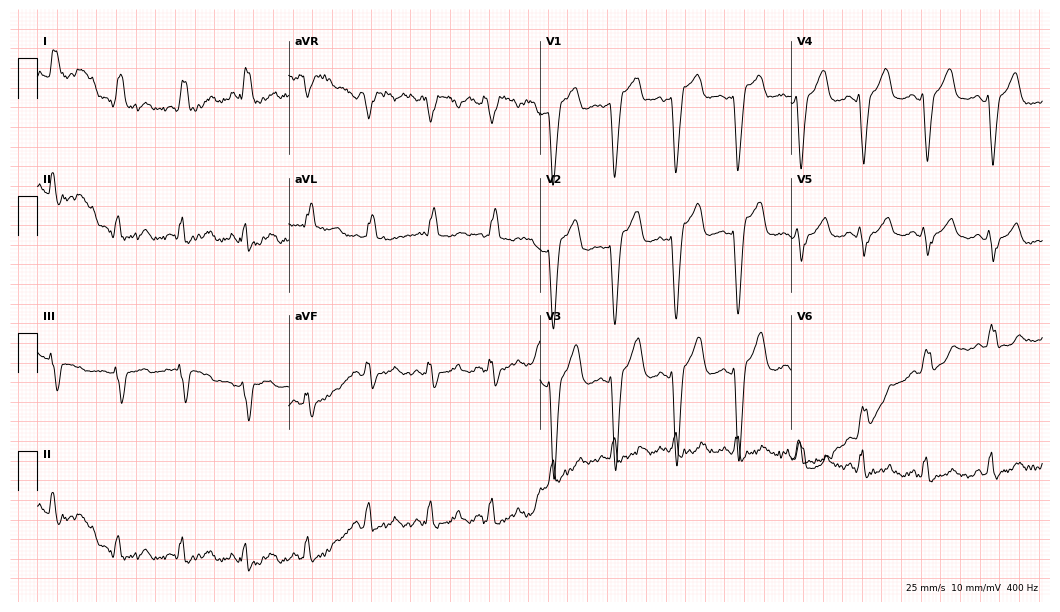
Resting 12-lead electrocardiogram (10.2-second recording at 400 Hz). Patient: a 55-year-old female. The tracing shows left bundle branch block.